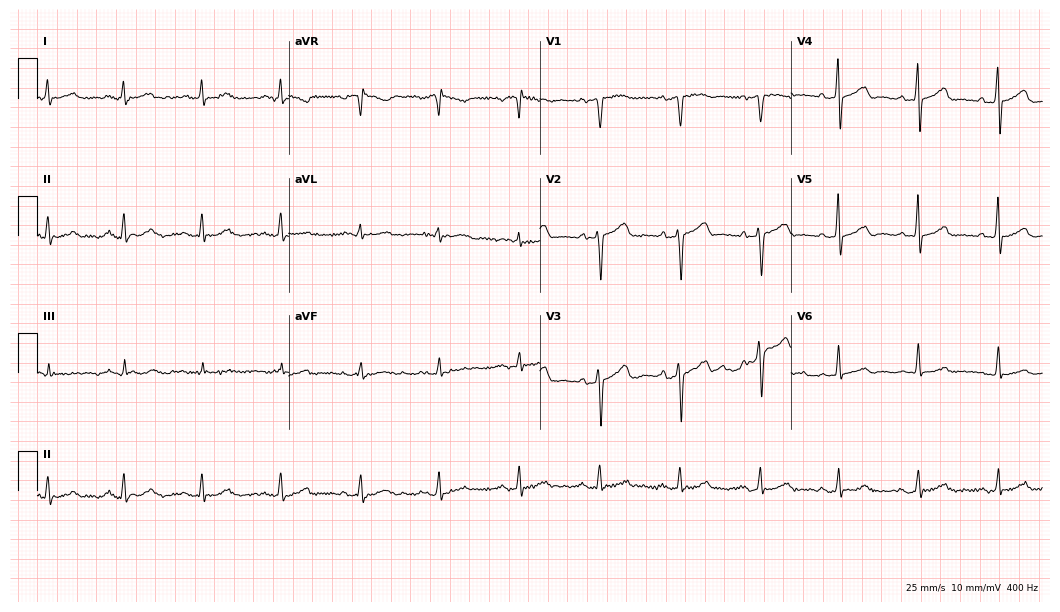
Standard 12-lead ECG recorded from a woman, 54 years old (10.2-second recording at 400 Hz). Read as a normal ECG.